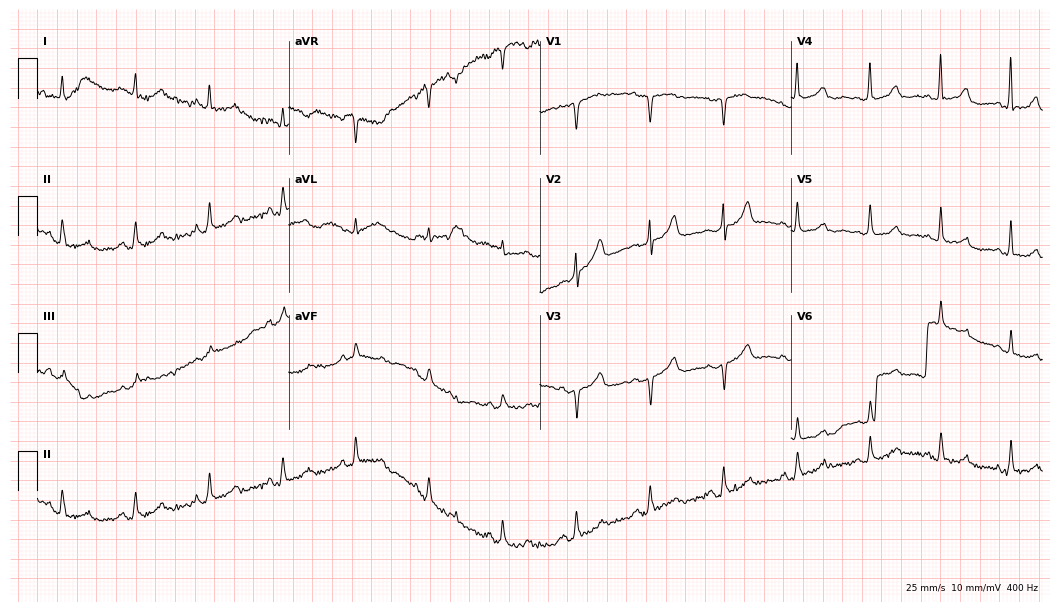
12-lead ECG (10.2-second recording at 400 Hz) from an 86-year-old female. Labelled as a normal ECG.